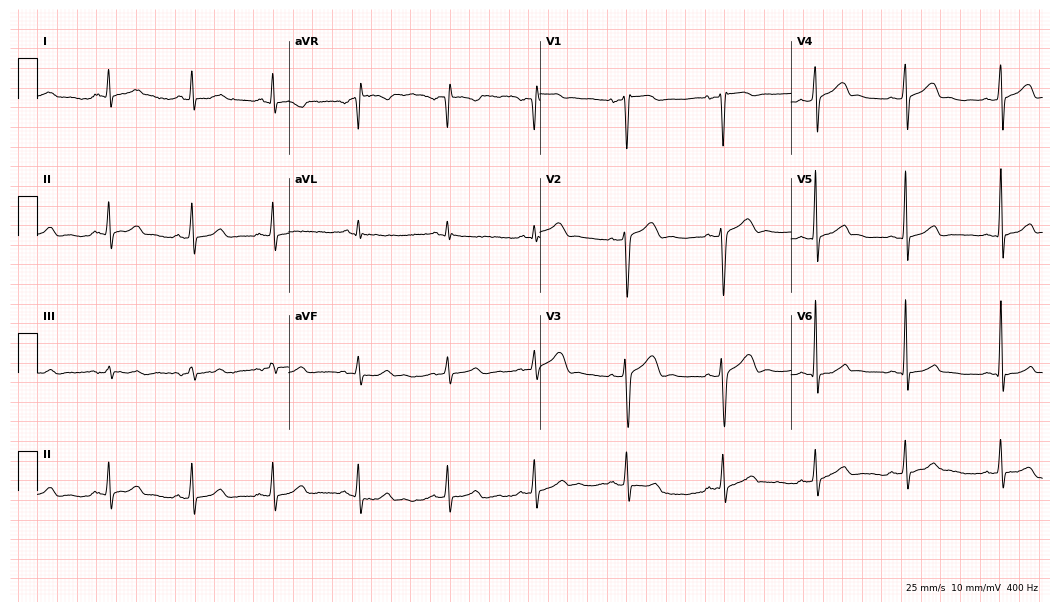
Resting 12-lead electrocardiogram. Patient: a male, 26 years old. Read as a normal ECG.